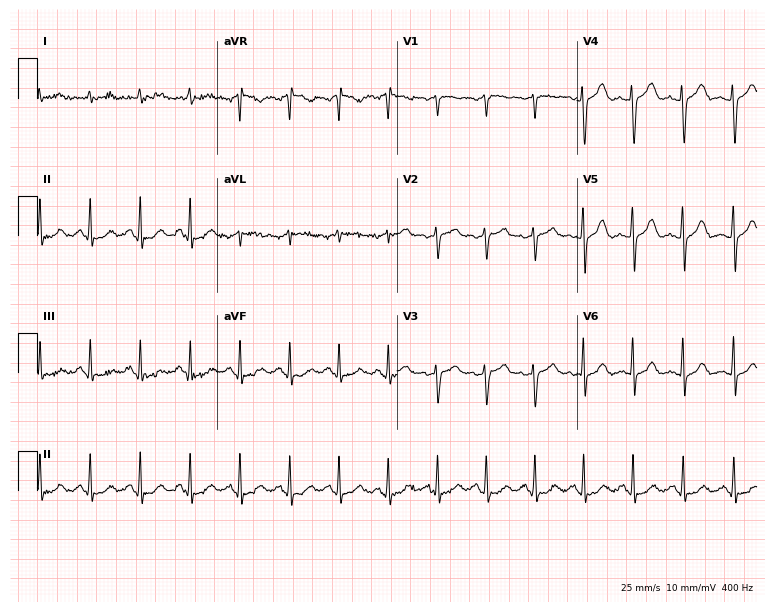
Standard 12-lead ECG recorded from a 53-year-old female patient. The tracing shows sinus tachycardia (a sinus rate of 100 beats per minute or more).